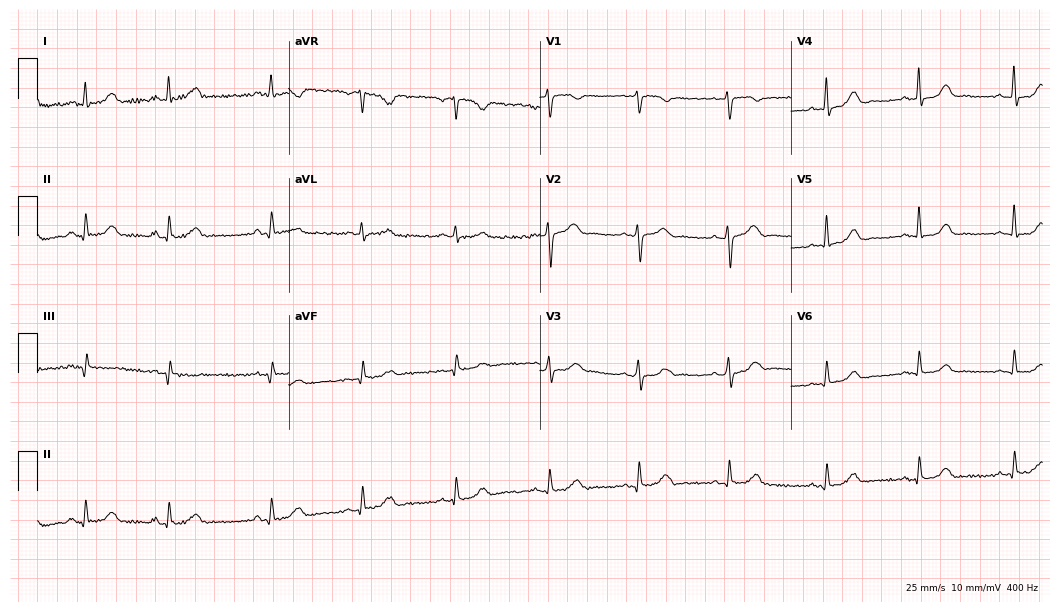
Resting 12-lead electrocardiogram. Patient: a 43-year-old female. Read as a normal ECG.